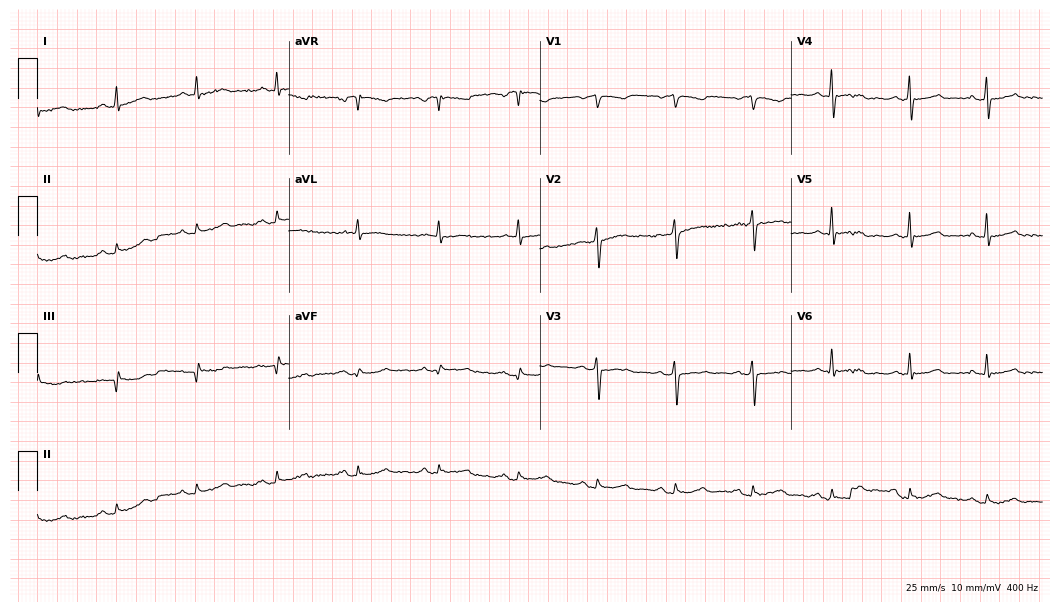
Resting 12-lead electrocardiogram (10.2-second recording at 400 Hz). Patient: a 65-year-old female. Read as a normal ECG.